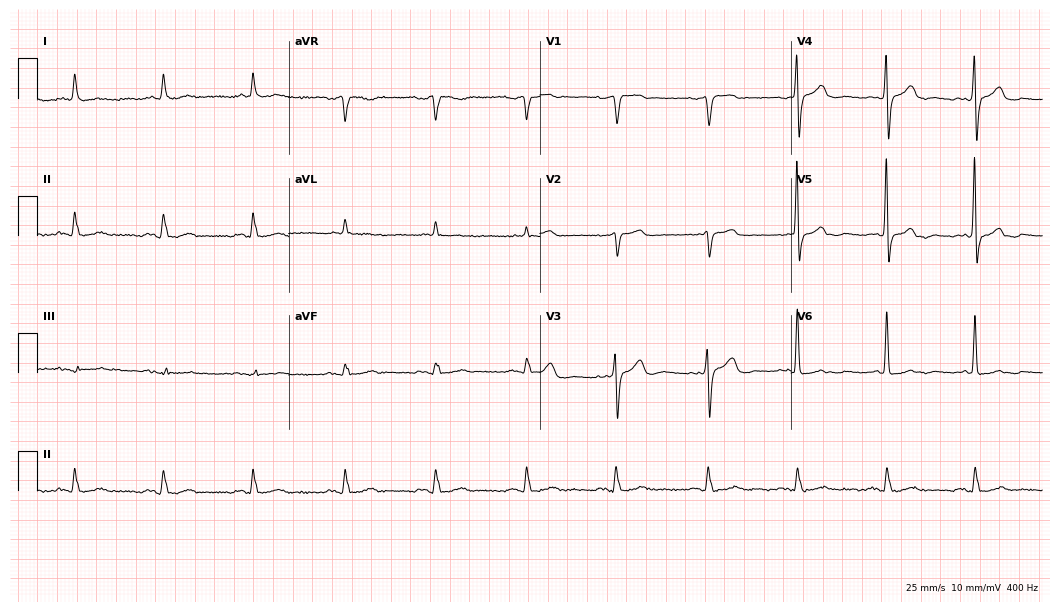
12-lead ECG from a male patient, 76 years old. Recorded interpretation: within normal limits.